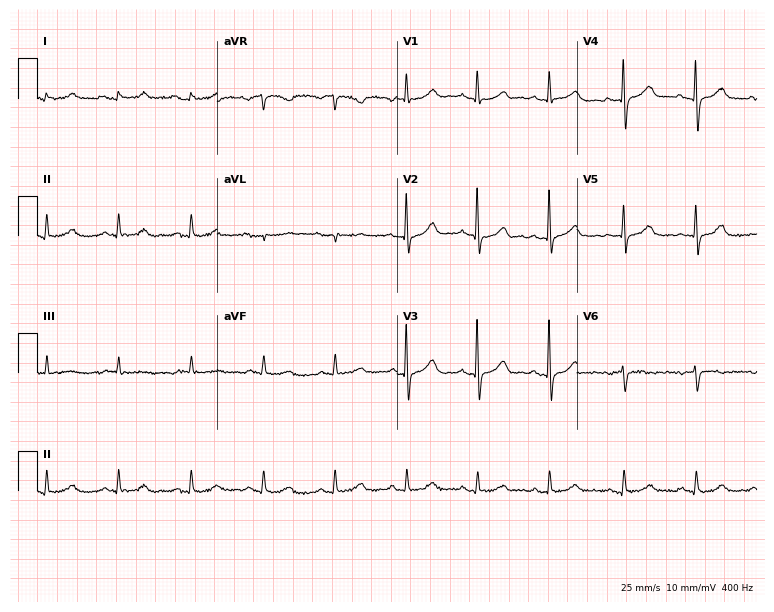
12-lead ECG (7.3-second recording at 400 Hz) from a female patient, 81 years old. Screened for six findings — first-degree AV block, right bundle branch block, left bundle branch block, sinus bradycardia, atrial fibrillation, sinus tachycardia — none is recorded. Other findings, if any, are not listed.